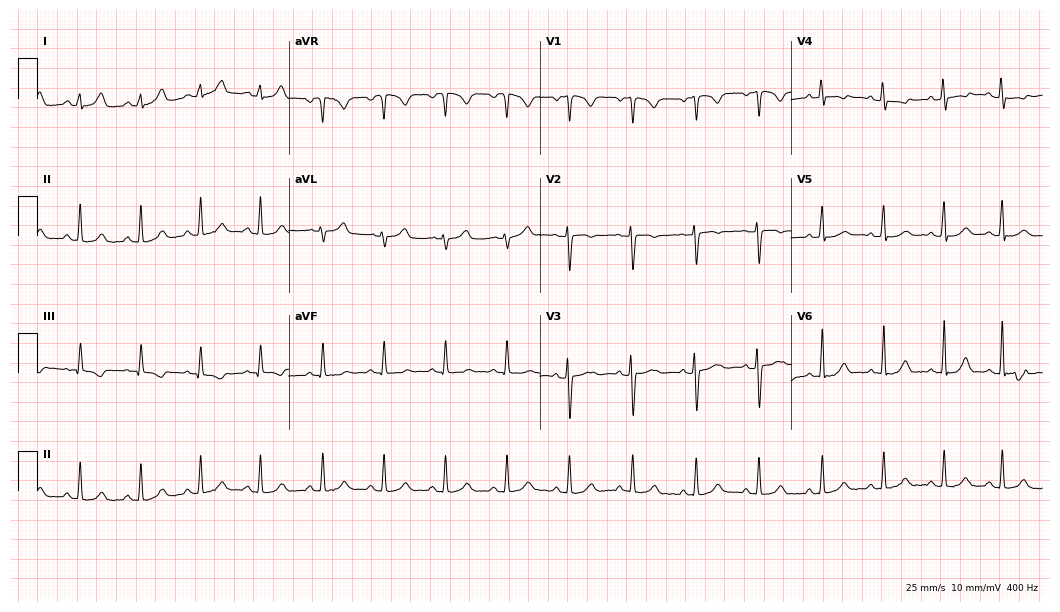
ECG — a female patient, 20 years old. Labelled as a normal ECG.